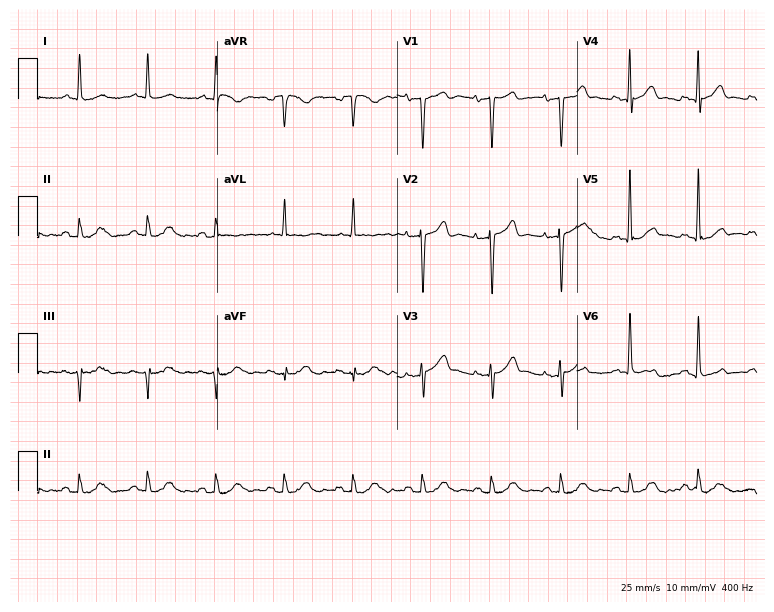
Electrocardiogram (7.3-second recording at 400 Hz), an 85-year-old man. Overall reading on record: normal ECG.